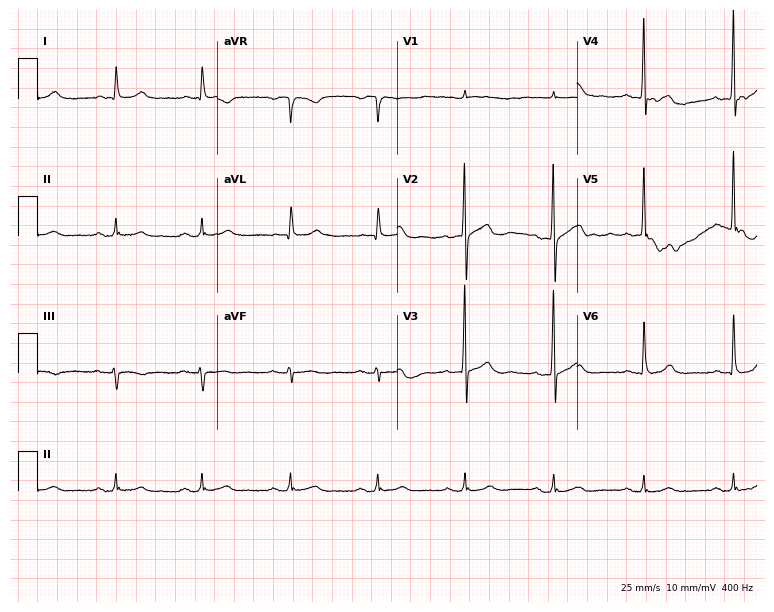
Standard 12-lead ECG recorded from an 81-year-old male (7.3-second recording at 400 Hz). None of these six findings is recorded: first-degree AV block, right bundle branch block, left bundle branch block, sinus bradycardia, atrial fibrillation, sinus tachycardia. Other findings, if any, are not listed.